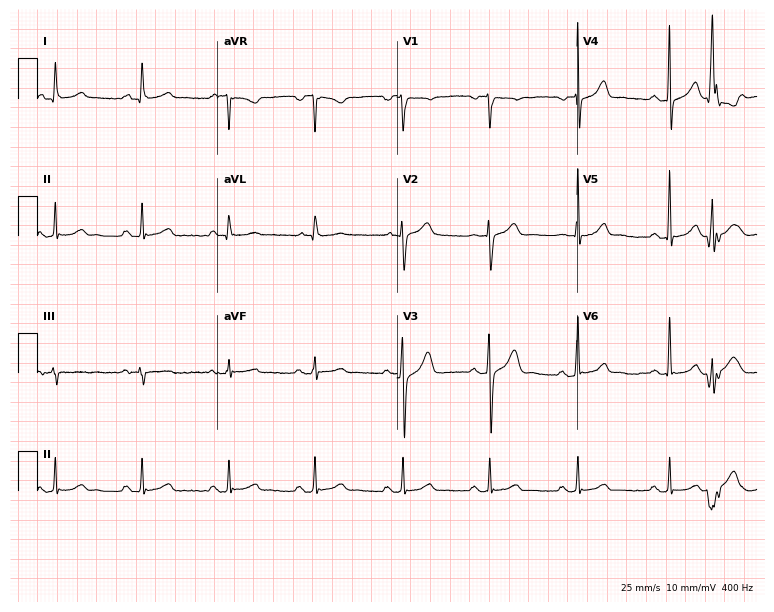
12-lead ECG from a 72-year-old male patient. Labelled as a normal ECG.